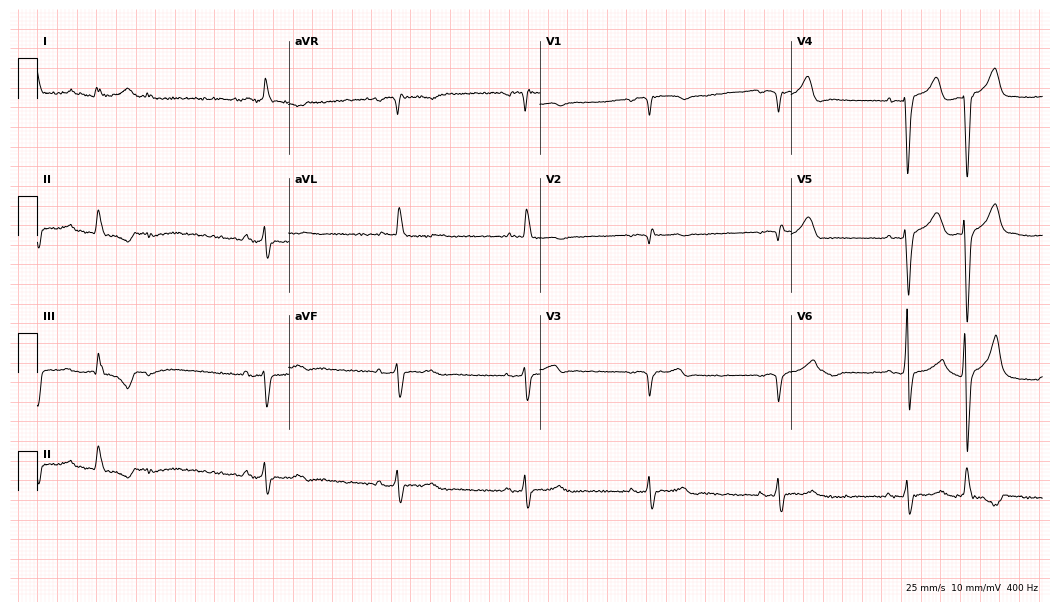
Electrocardiogram (10.2-second recording at 400 Hz), a man, 84 years old. Interpretation includes sinus bradycardia (a sinus rate of 50 beats per minute or less).